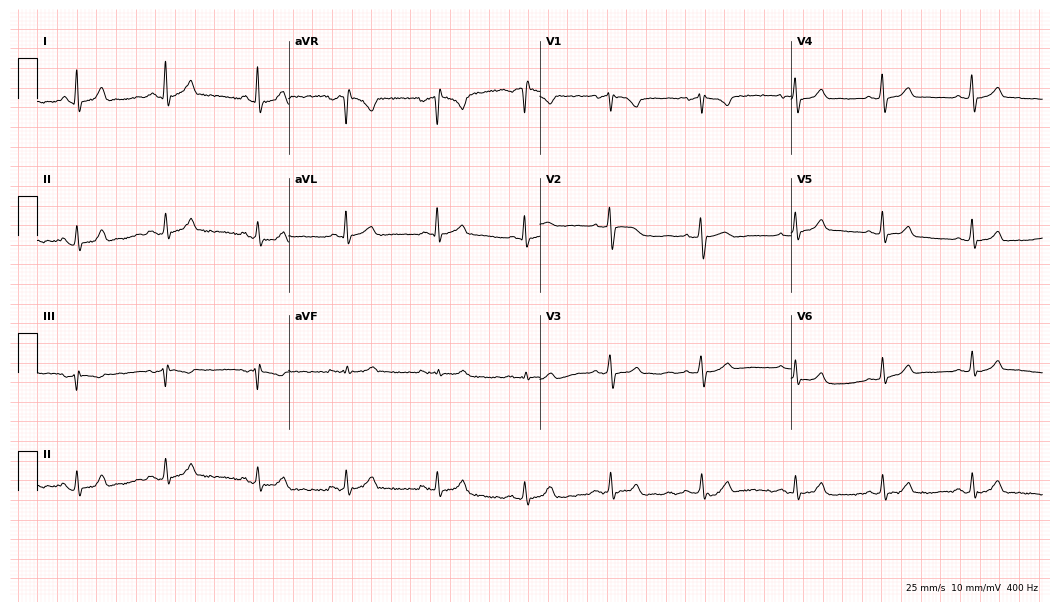
Standard 12-lead ECG recorded from a female patient, 43 years old (10.2-second recording at 400 Hz). Read as a normal ECG.